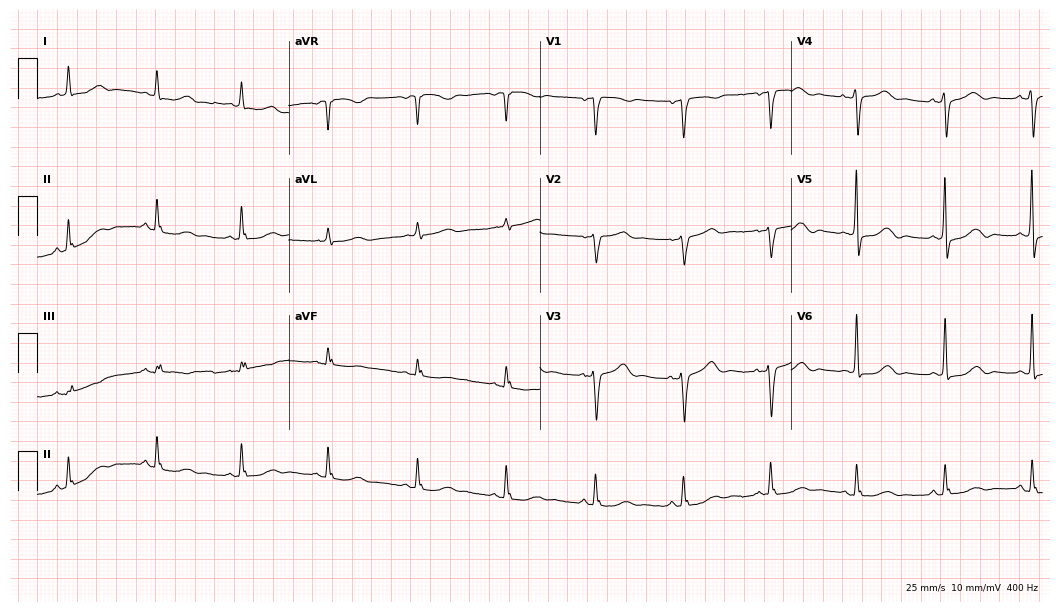
Standard 12-lead ECG recorded from a female patient, 83 years old (10.2-second recording at 400 Hz). None of these six findings is recorded: first-degree AV block, right bundle branch block, left bundle branch block, sinus bradycardia, atrial fibrillation, sinus tachycardia. Other findings, if any, are not listed.